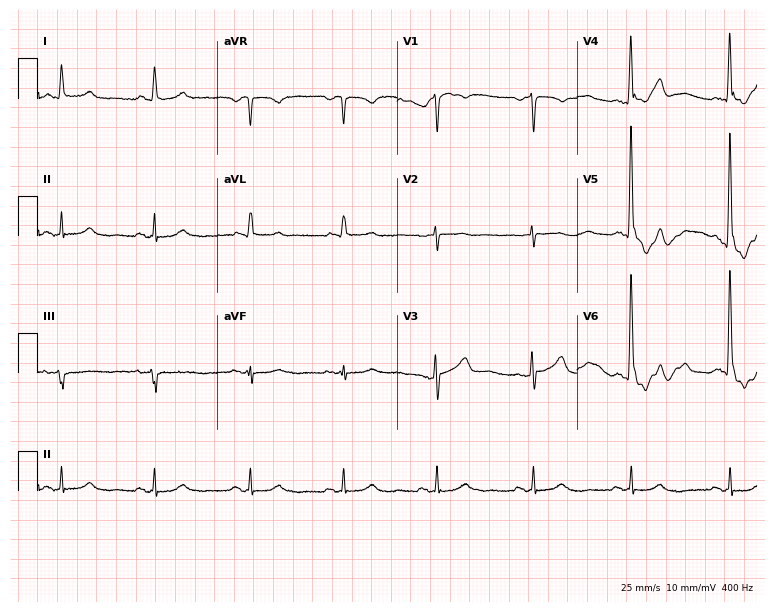
Electrocardiogram, a 71-year-old male. Of the six screened findings (first-degree AV block, right bundle branch block, left bundle branch block, sinus bradycardia, atrial fibrillation, sinus tachycardia), none is recorded. Findings outside these six are not listed.